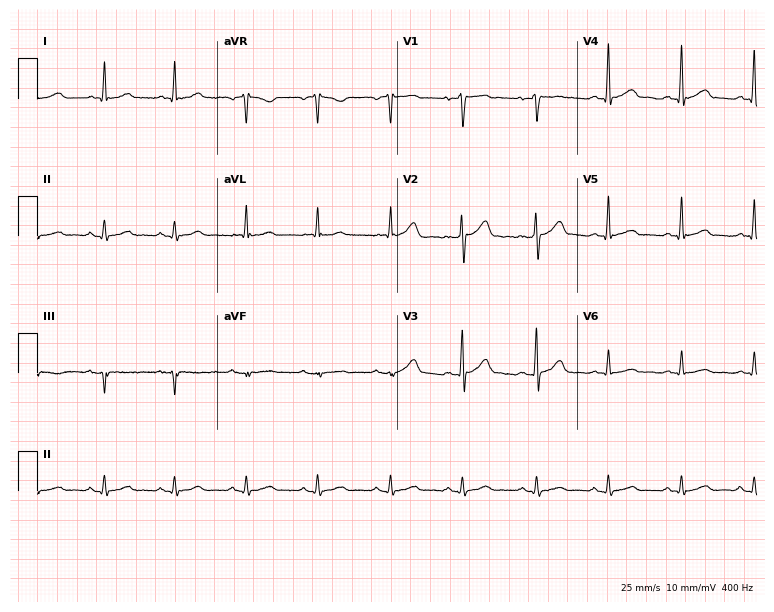
12-lead ECG from a 51-year-old male patient (7.3-second recording at 400 Hz). No first-degree AV block, right bundle branch block, left bundle branch block, sinus bradycardia, atrial fibrillation or sinus tachycardia recorded for this tracing.